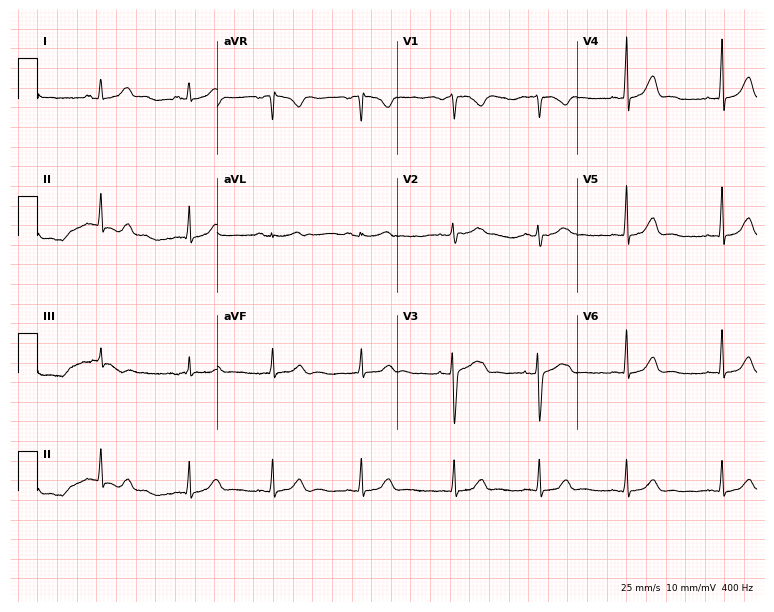
Resting 12-lead electrocardiogram. Patient: a 20-year-old woman. Read as a normal ECG.